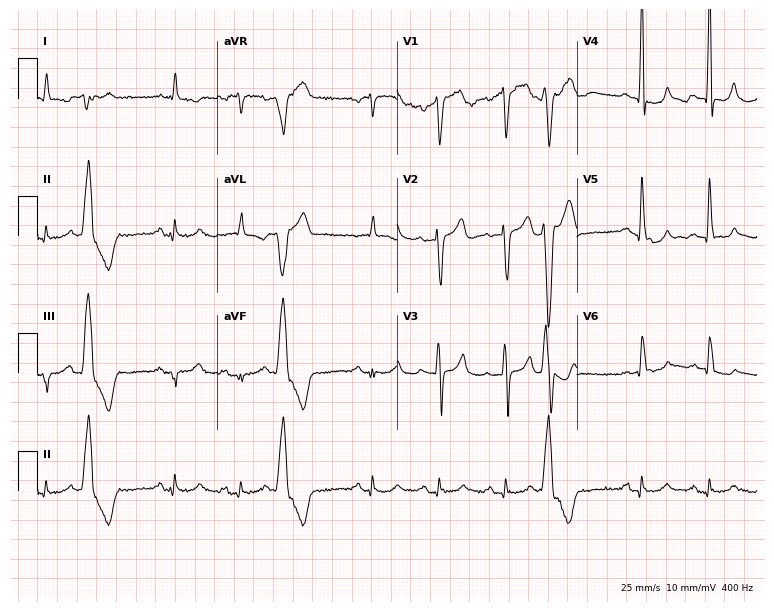
12-lead ECG from a male, 81 years old (7.3-second recording at 400 Hz). No first-degree AV block, right bundle branch block, left bundle branch block, sinus bradycardia, atrial fibrillation or sinus tachycardia recorded for this tracing.